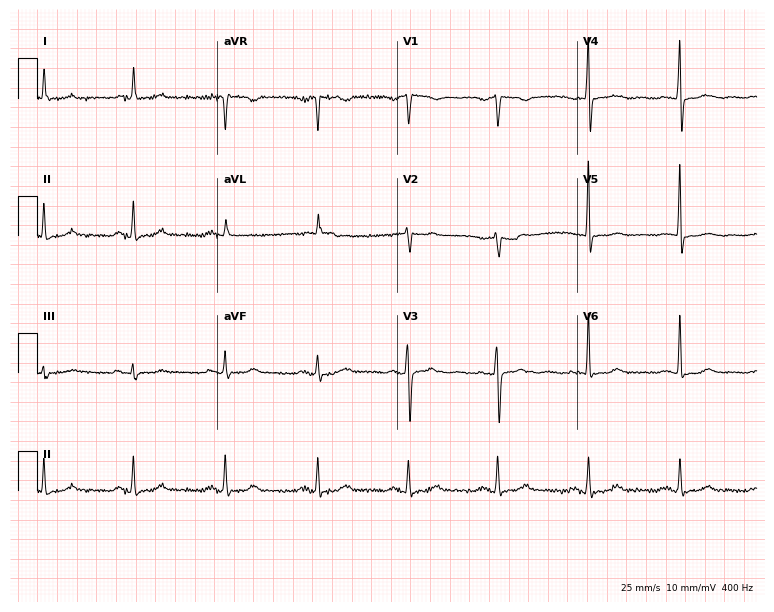
ECG (7.3-second recording at 400 Hz) — a 68-year-old female patient. Screened for six findings — first-degree AV block, right bundle branch block, left bundle branch block, sinus bradycardia, atrial fibrillation, sinus tachycardia — none is recorded. Findings outside these six are not listed.